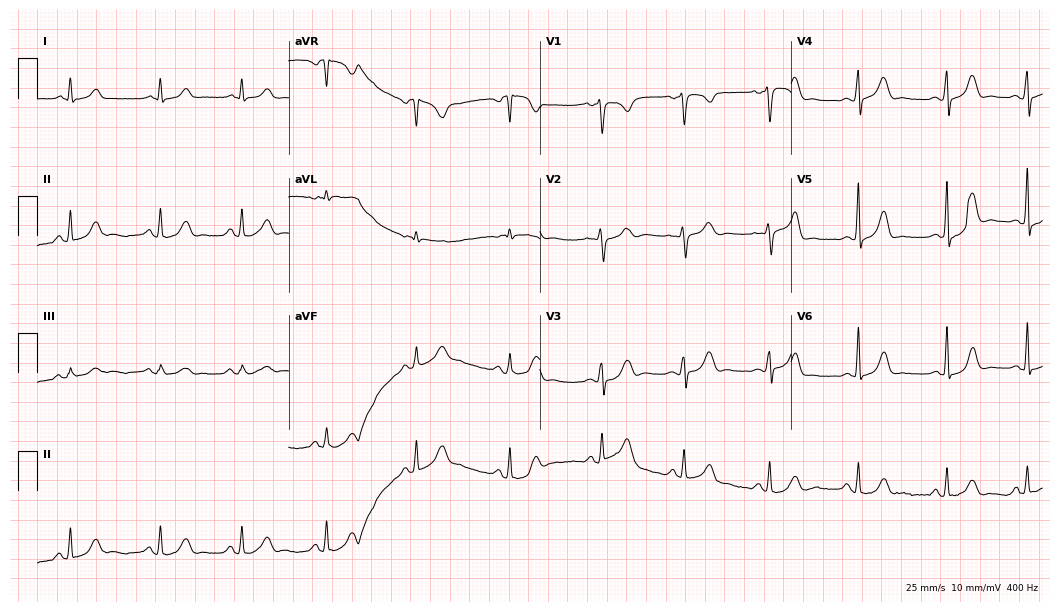
12-lead ECG from a 28-year-old woman (10.2-second recording at 400 Hz). Recorded interpretation: within normal limits.